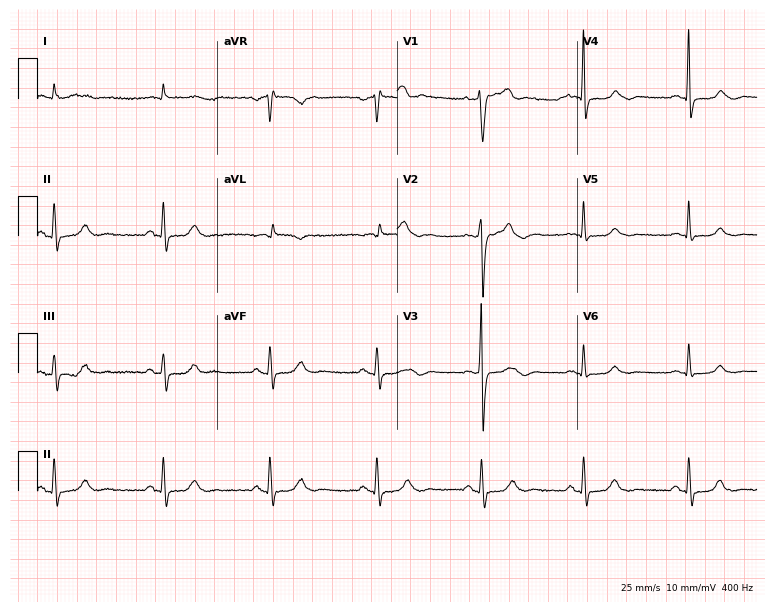
12-lead ECG from a 61-year-old male. Screened for six findings — first-degree AV block, right bundle branch block, left bundle branch block, sinus bradycardia, atrial fibrillation, sinus tachycardia — none is recorded. Only these six findings were labelled.